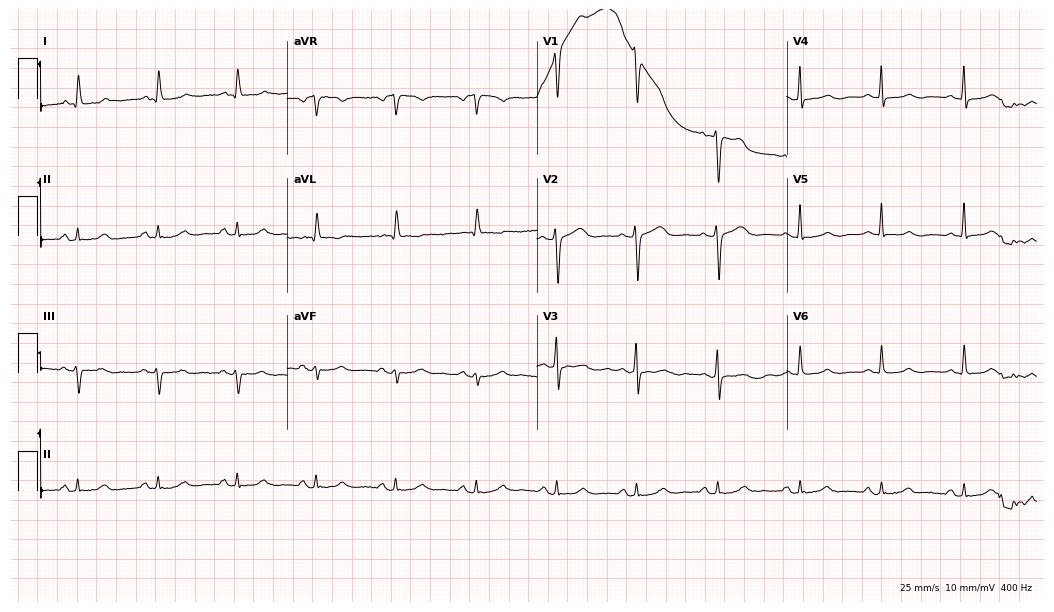
12-lead ECG (10.2-second recording at 400 Hz) from a 58-year-old female. Screened for six findings — first-degree AV block, right bundle branch block, left bundle branch block, sinus bradycardia, atrial fibrillation, sinus tachycardia — none is recorded. Only these six findings were labelled.